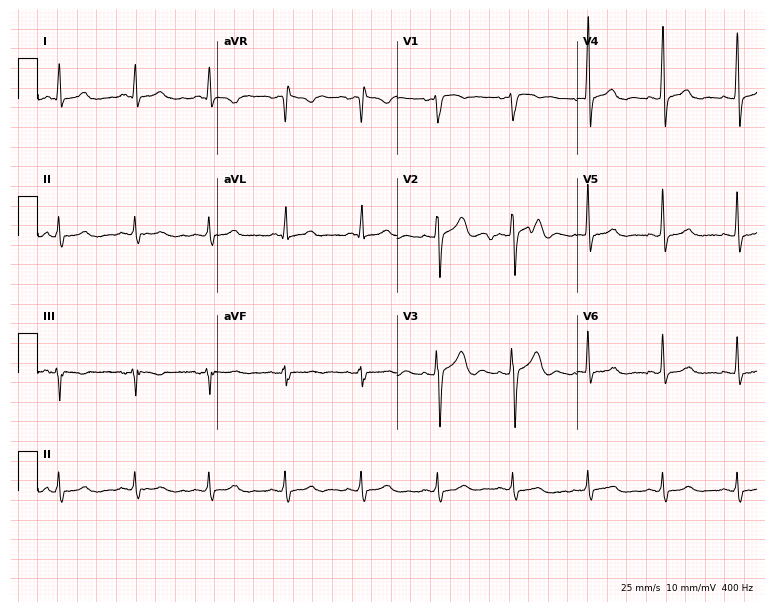
Standard 12-lead ECG recorded from a 34-year-old male (7.3-second recording at 400 Hz). None of these six findings is recorded: first-degree AV block, right bundle branch block, left bundle branch block, sinus bradycardia, atrial fibrillation, sinus tachycardia. Other findings, if any, are not listed.